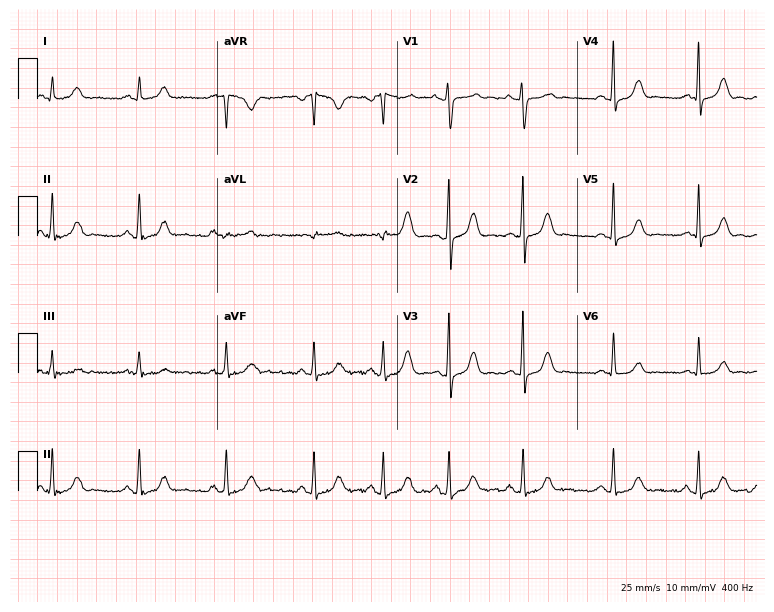
Standard 12-lead ECG recorded from a woman, 21 years old. None of these six findings is recorded: first-degree AV block, right bundle branch block (RBBB), left bundle branch block (LBBB), sinus bradycardia, atrial fibrillation (AF), sinus tachycardia. Findings outside these six are not listed.